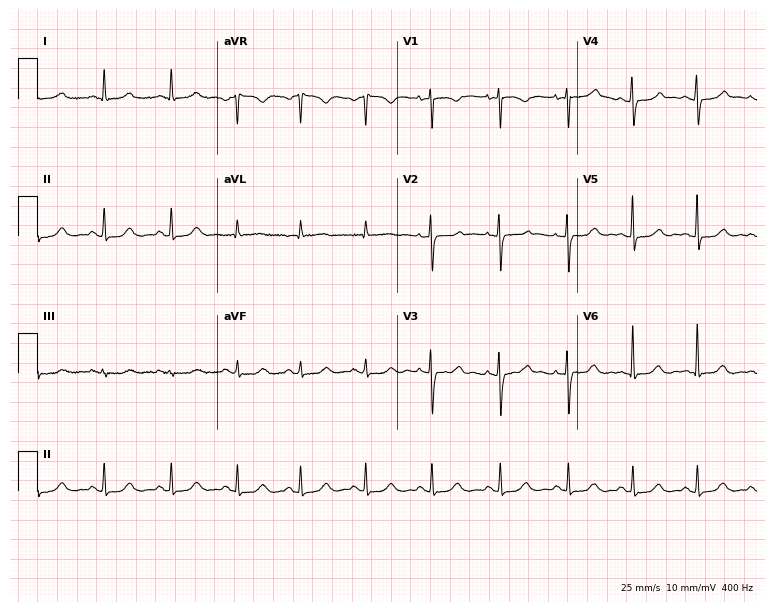
Electrocardiogram, a 28-year-old woman. Overall reading on record: normal ECG.